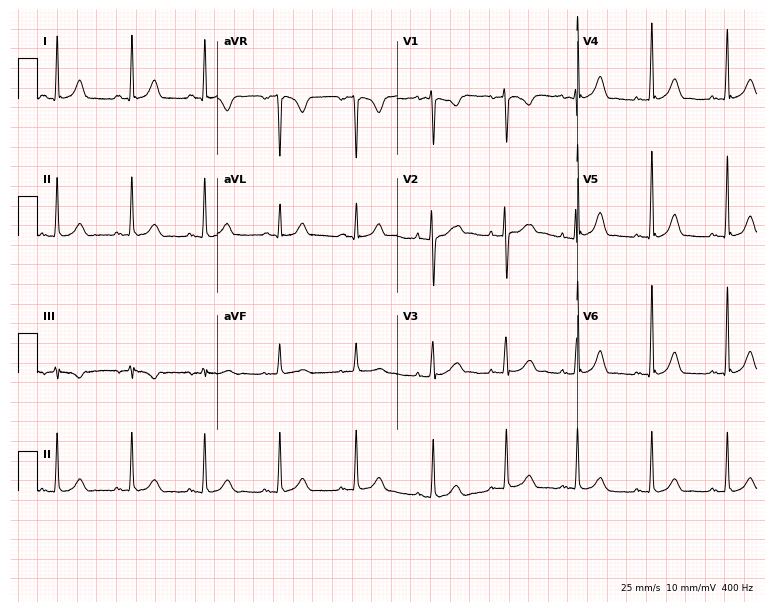
12-lead ECG (7.3-second recording at 400 Hz) from a woman, 28 years old. Screened for six findings — first-degree AV block, right bundle branch block (RBBB), left bundle branch block (LBBB), sinus bradycardia, atrial fibrillation (AF), sinus tachycardia — none is recorded.